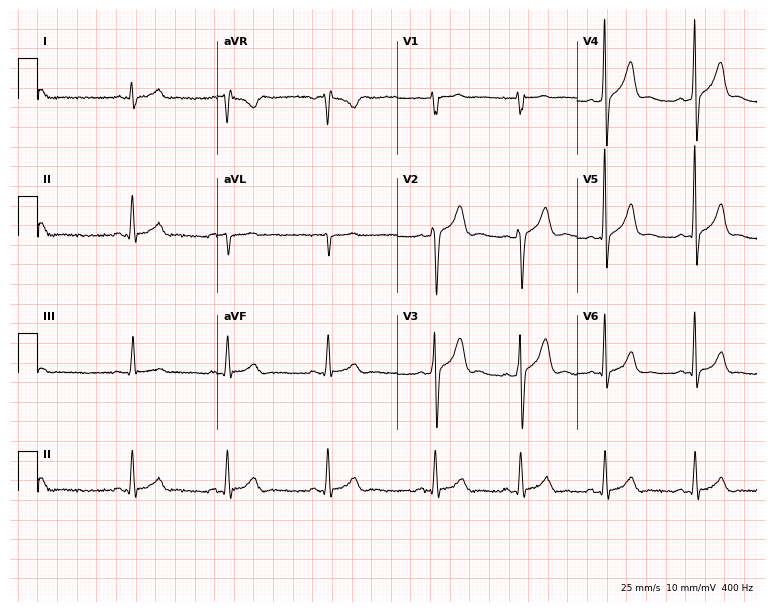
ECG — a 21-year-old male patient. Labelled as a normal ECG.